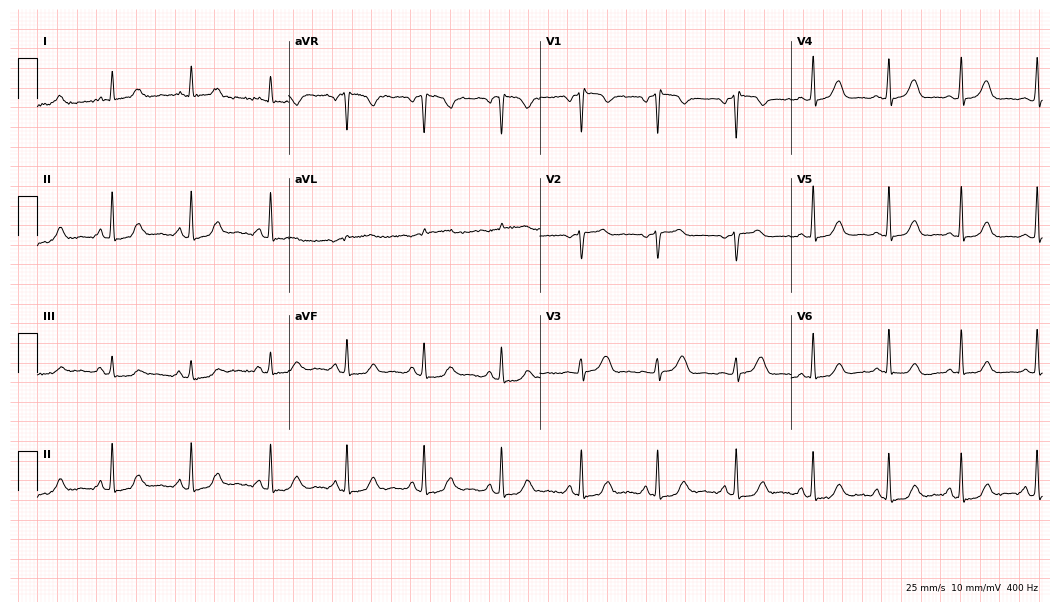
Electrocardiogram (10.2-second recording at 400 Hz), a woman, 49 years old. Of the six screened findings (first-degree AV block, right bundle branch block, left bundle branch block, sinus bradycardia, atrial fibrillation, sinus tachycardia), none is recorded. Findings outside these six are not listed.